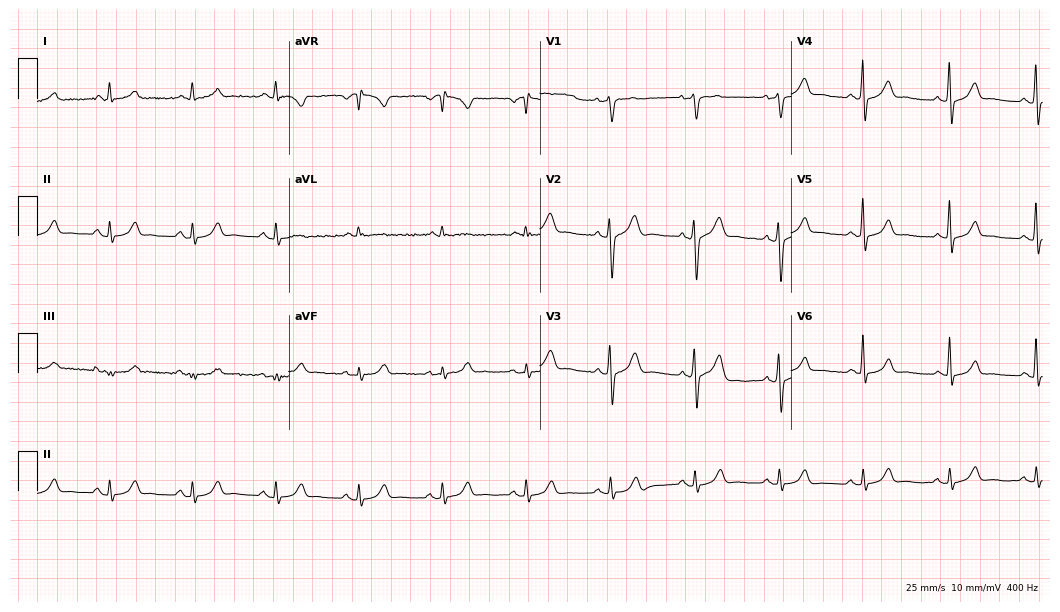
Resting 12-lead electrocardiogram. Patient: a male, 46 years old. Read as a normal ECG.